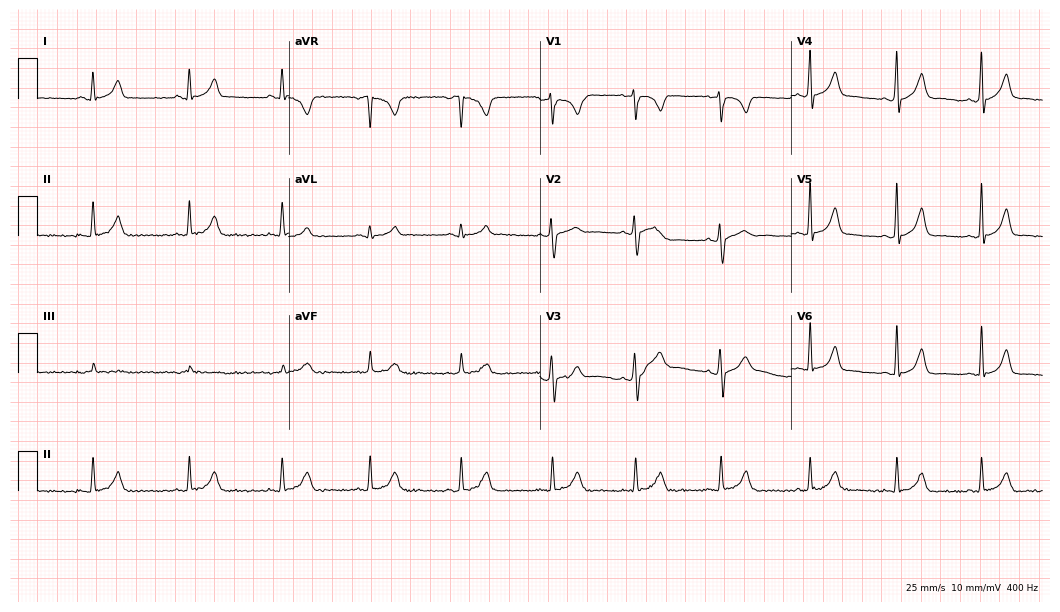
Electrocardiogram (10.2-second recording at 400 Hz), a 21-year-old female patient. Overall reading on record: normal ECG.